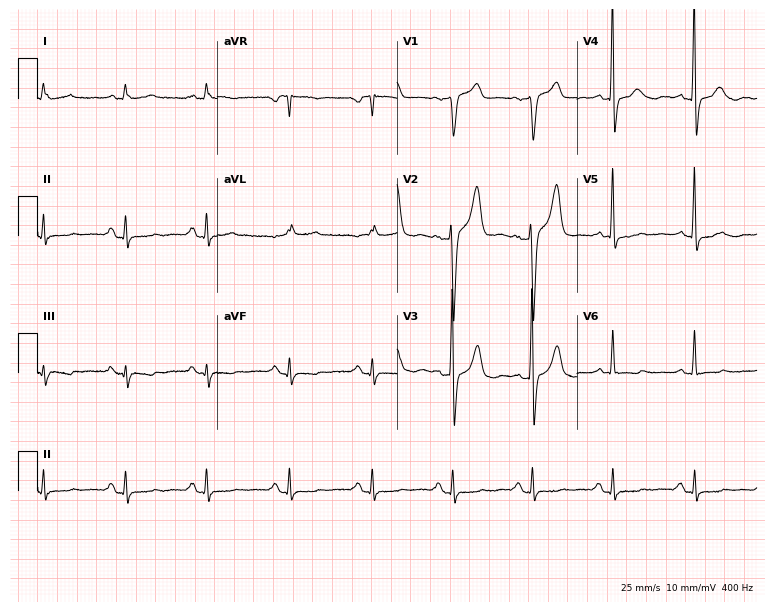
12-lead ECG from an 82-year-old male (7.3-second recording at 400 Hz). No first-degree AV block, right bundle branch block (RBBB), left bundle branch block (LBBB), sinus bradycardia, atrial fibrillation (AF) or sinus tachycardia recorded for this tracing. Other findings, if any, are not listed.